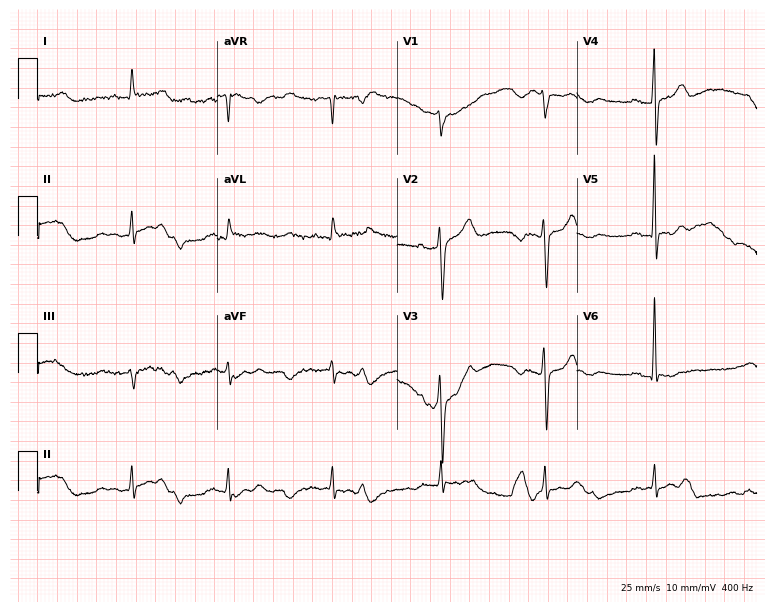
Electrocardiogram, a 71-year-old man. Overall reading on record: normal ECG.